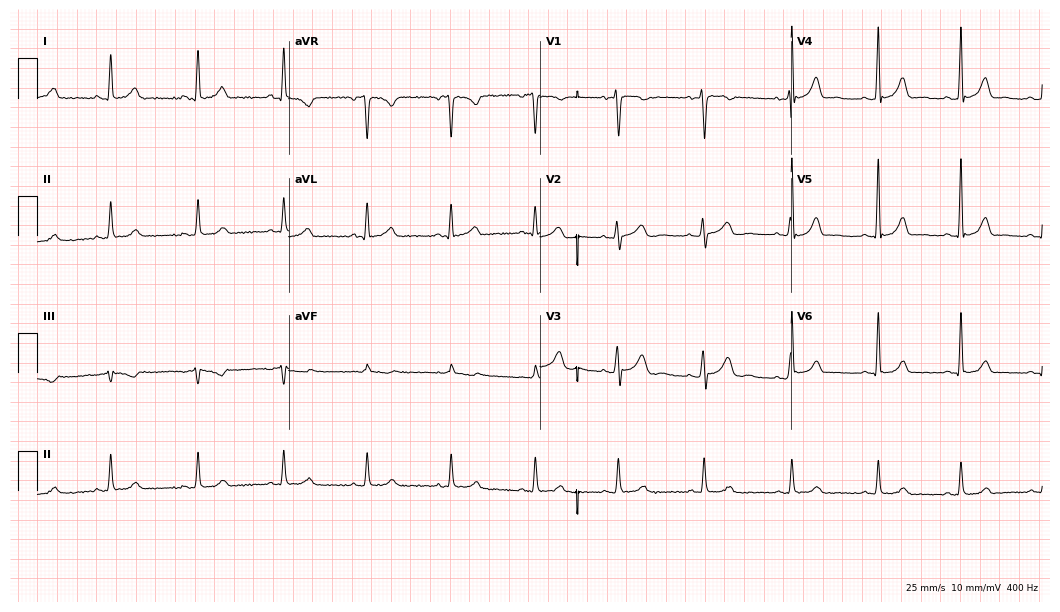
Standard 12-lead ECG recorded from a female, 33 years old. Read as a normal ECG.